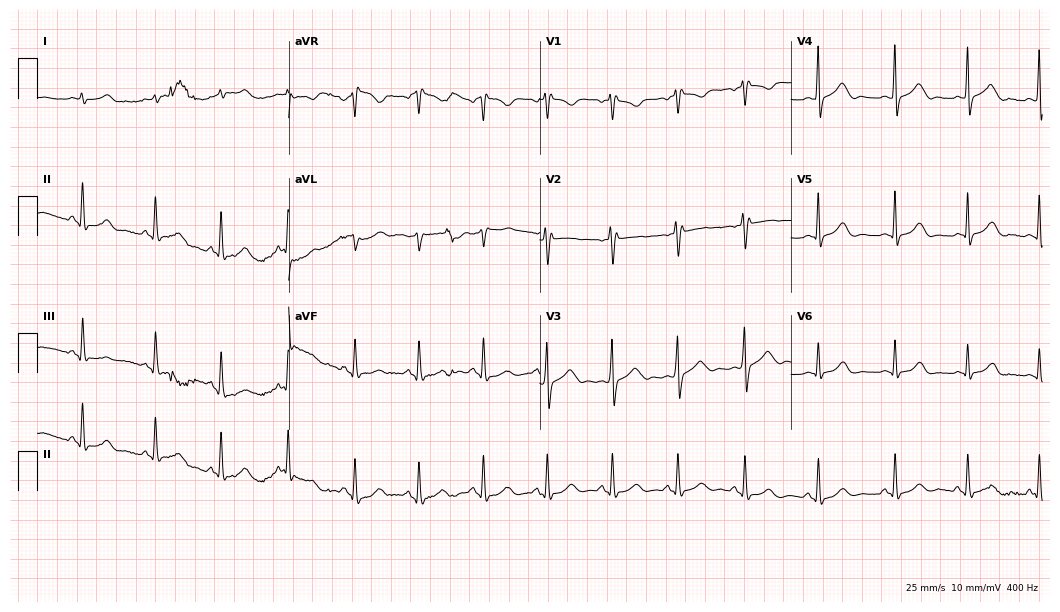
Standard 12-lead ECG recorded from a female patient, 17 years old (10.2-second recording at 400 Hz). None of these six findings is recorded: first-degree AV block, right bundle branch block (RBBB), left bundle branch block (LBBB), sinus bradycardia, atrial fibrillation (AF), sinus tachycardia. Only these six findings were labelled.